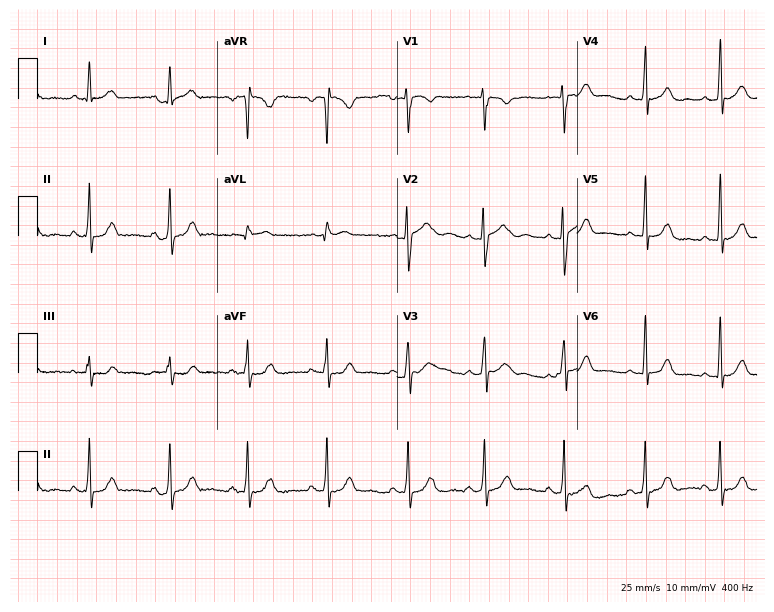
12-lead ECG from a male, 19 years old. No first-degree AV block, right bundle branch block, left bundle branch block, sinus bradycardia, atrial fibrillation or sinus tachycardia recorded for this tracing. Only these six findings were labelled.